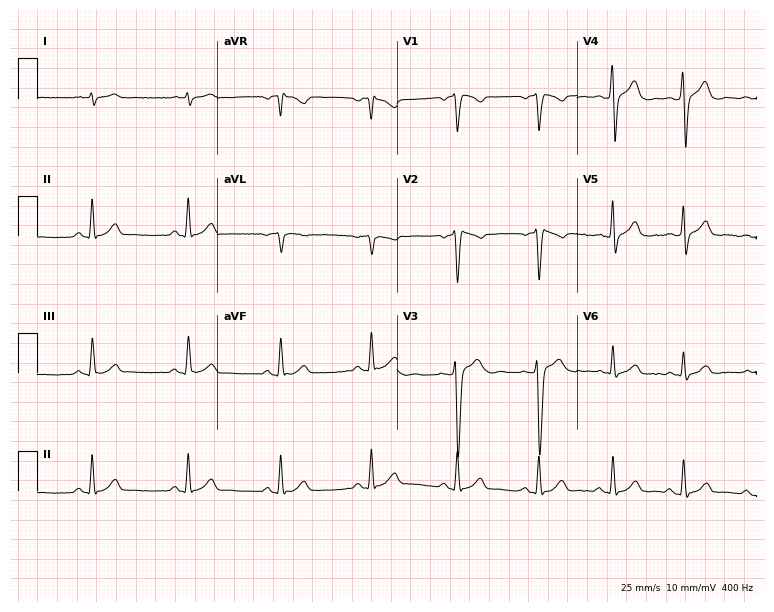
Resting 12-lead electrocardiogram. Patient: a male, 41 years old. None of these six findings is recorded: first-degree AV block, right bundle branch block, left bundle branch block, sinus bradycardia, atrial fibrillation, sinus tachycardia. Only these six findings were labelled.